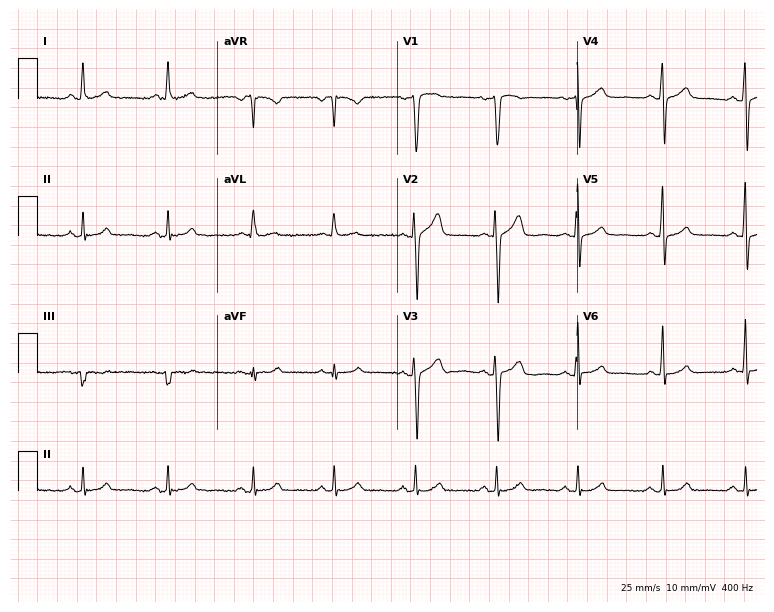
Resting 12-lead electrocardiogram (7.3-second recording at 400 Hz). Patient: a 47-year-old male. None of these six findings is recorded: first-degree AV block, right bundle branch block, left bundle branch block, sinus bradycardia, atrial fibrillation, sinus tachycardia.